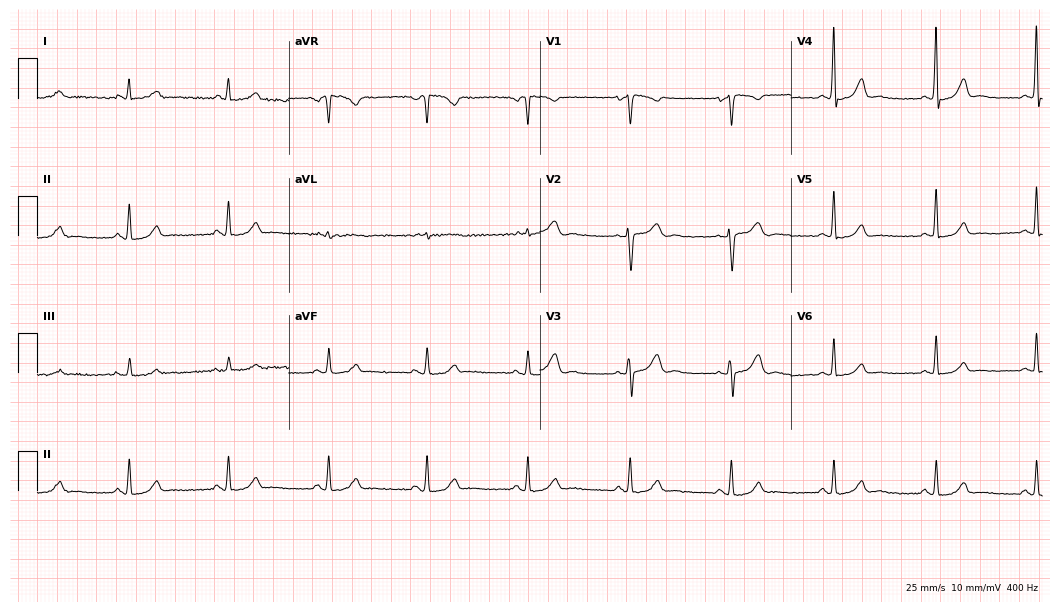
12-lead ECG from a 53-year-old woman. Recorded interpretation: within normal limits.